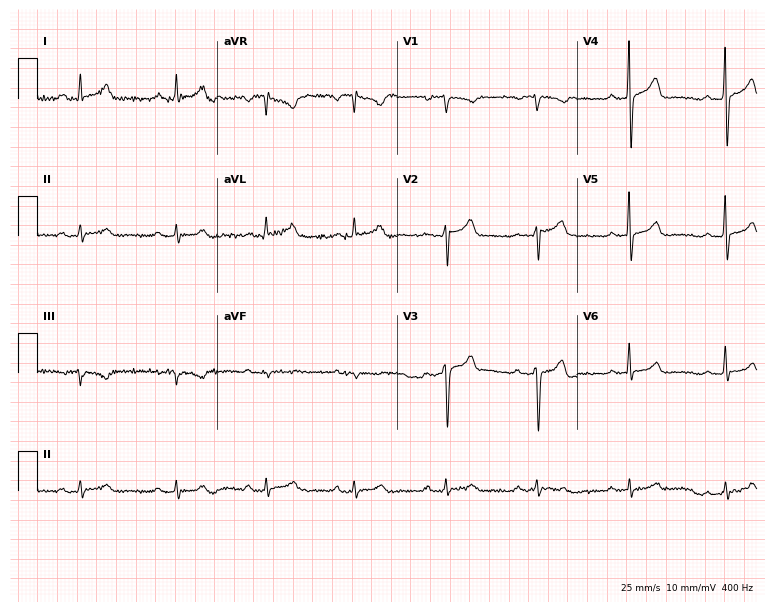
12-lead ECG (7.3-second recording at 400 Hz) from a man, 38 years old. Screened for six findings — first-degree AV block, right bundle branch block, left bundle branch block, sinus bradycardia, atrial fibrillation, sinus tachycardia — none is recorded. Findings outside these six are not listed.